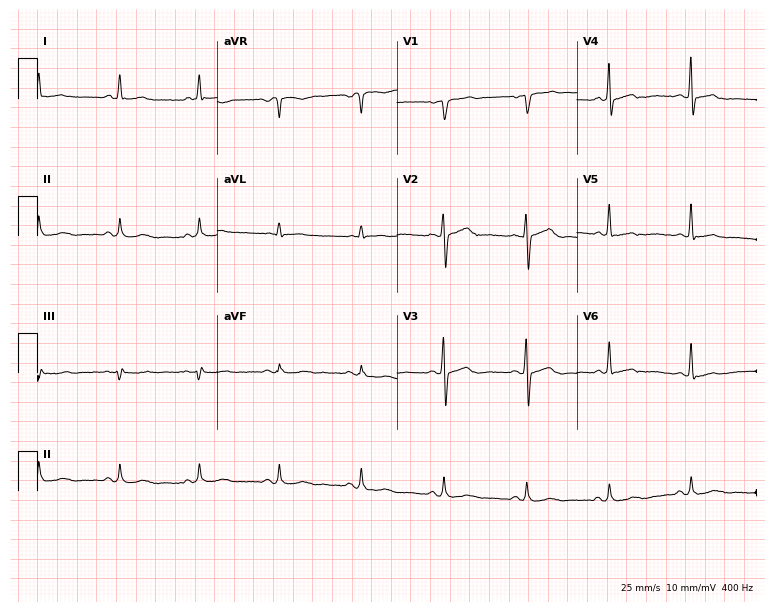
12-lead ECG from a 48-year-old man. No first-degree AV block, right bundle branch block (RBBB), left bundle branch block (LBBB), sinus bradycardia, atrial fibrillation (AF) or sinus tachycardia recorded for this tracing.